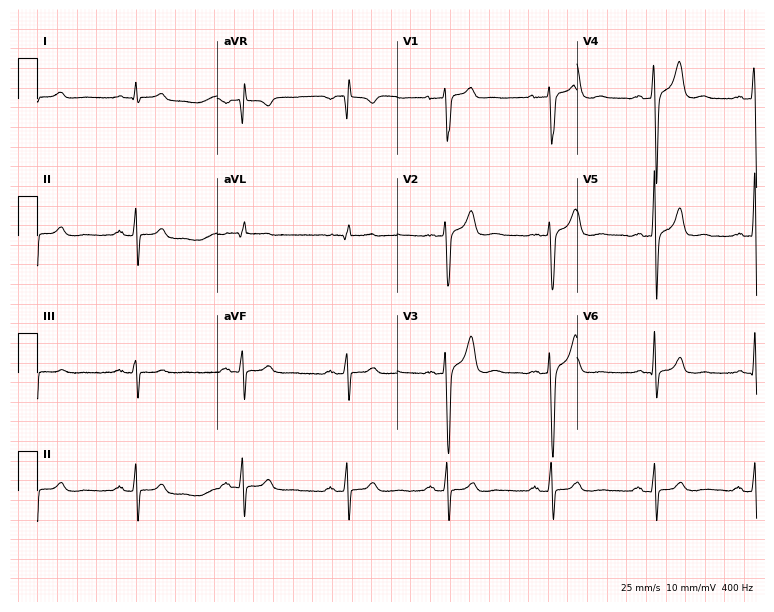
ECG (7.3-second recording at 400 Hz) — a male, 24 years old. Screened for six findings — first-degree AV block, right bundle branch block, left bundle branch block, sinus bradycardia, atrial fibrillation, sinus tachycardia — none is recorded. Findings outside these six are not listed.